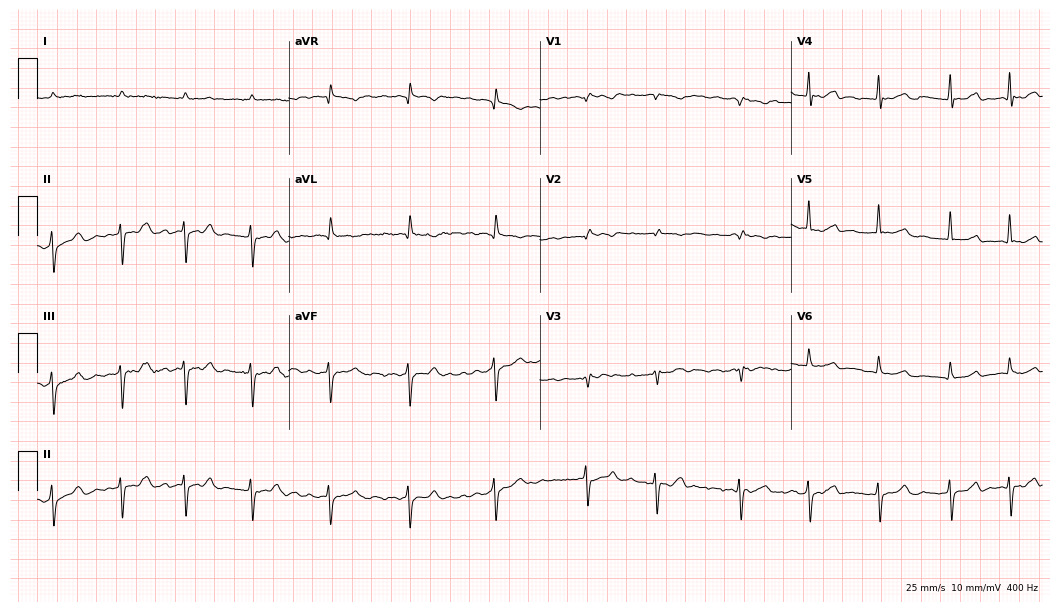
12-lead ECG from an 82-year-old man. Shows atrial fibrillation (AF).